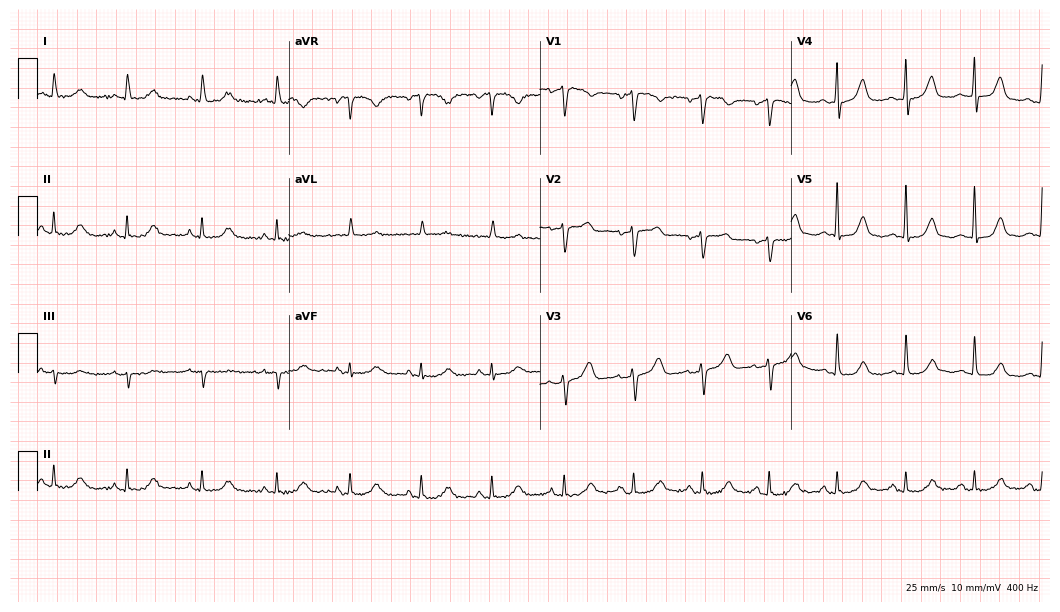
12-lead ECG from a female patient, 75 years old. Labelled as a normal ECG.